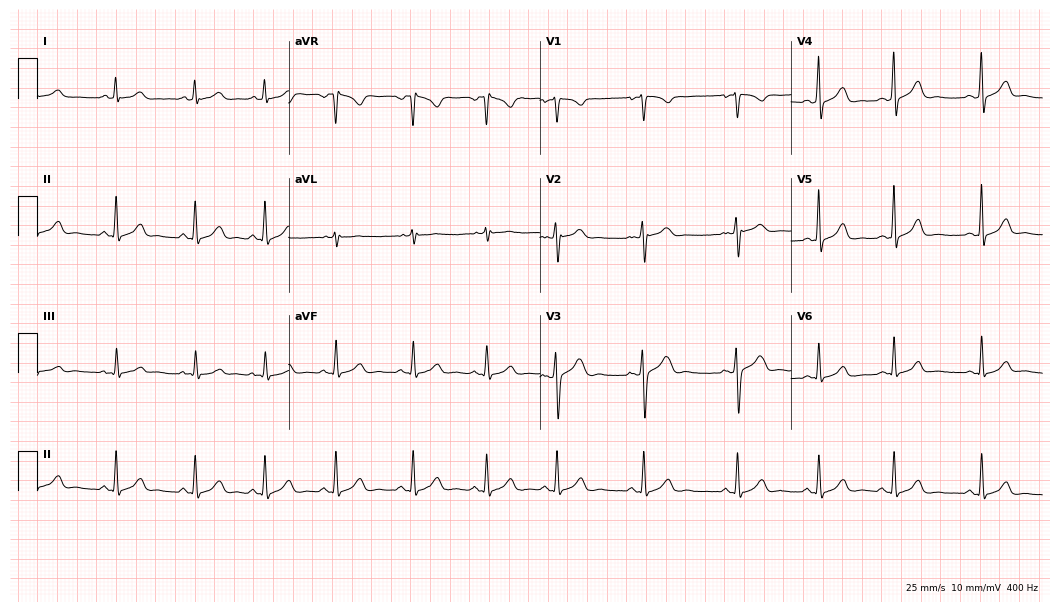
Standard 12-lead ECG recorded from a woman, 29 years old. None of these six findings is recorded: first-degree AV block, right bundle branch block, left bundle branch block, sinus bradycardia, atrial fibrillation, sinus tachycardia. Only these six findings were labelled.